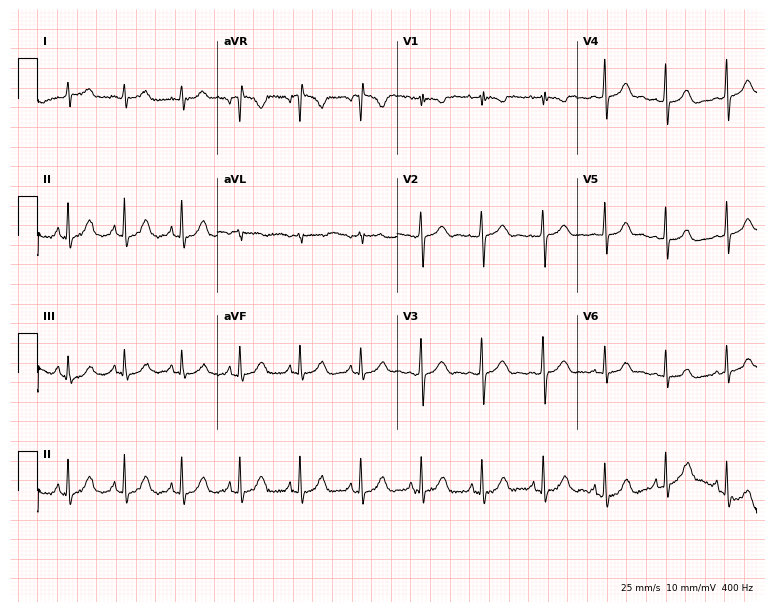
Standard 12-lead ECG recorded from a female, 24 years old (7.3-second recording at 400 Hz). None of these six findings is recorded: first-degree AV block, right bundle branch block, left bundle branch block, sinus bradycardia, atrial fibrillation, sinus tachycardia.